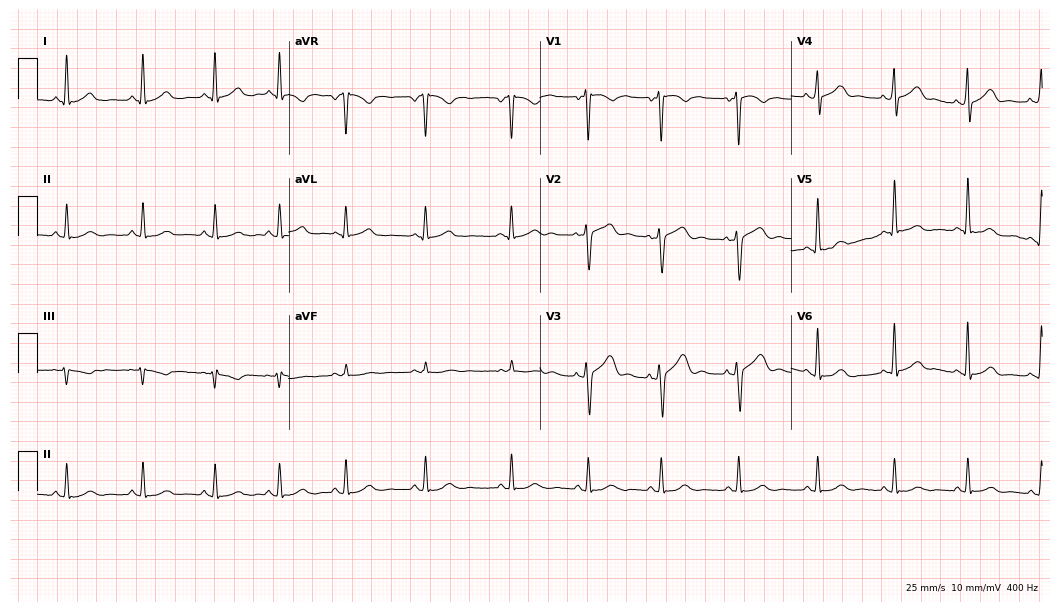
ECG — a 39-year-old man. Labelled as a normal ECG.